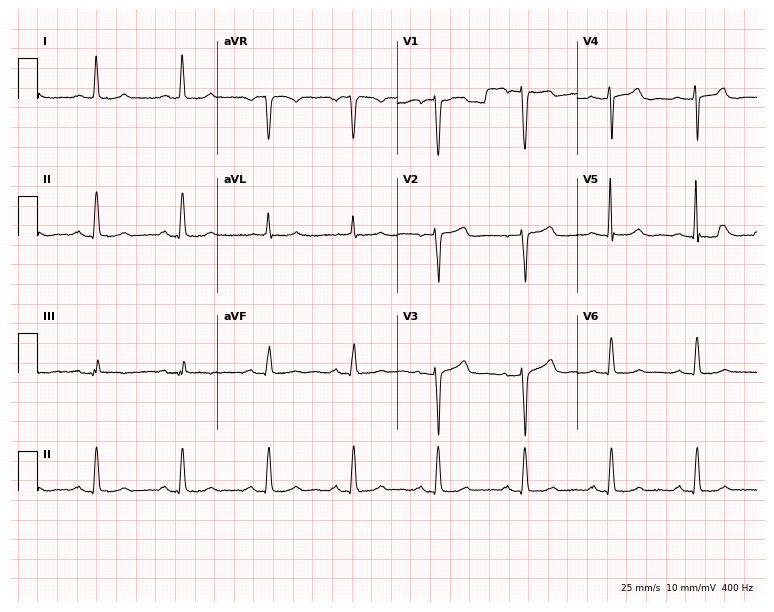
12-lead ECG from a woman, 71 years old. No first-degree AV block, right bundle branch block, left bundle branch block, sinus bradycardia, atrial fibrillation or sinus tachycardia recorded for this tracing. Only these six findings were labelled.